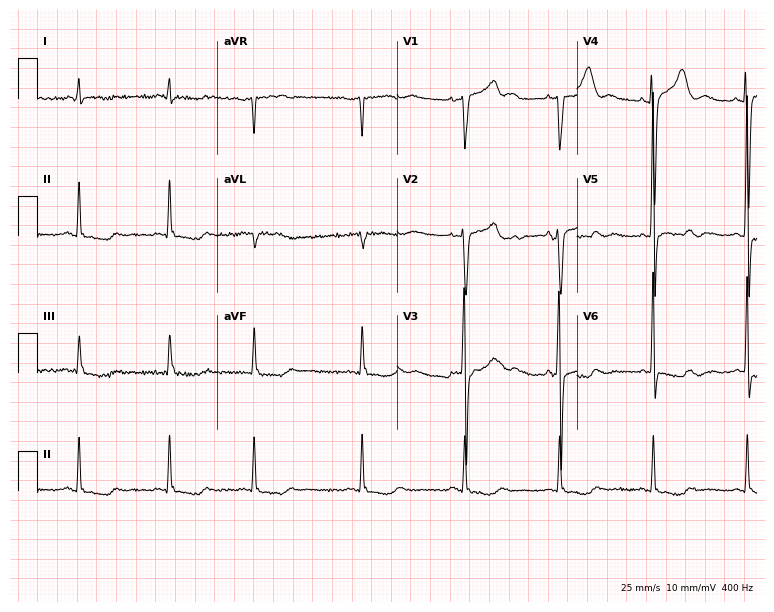
ECG (7.3-second recording at 400 Hz) — an 84-year-old male. Screened for six findings — first-degree AV block, right bundle branch block (RBBB), left bundle branch block (LBBB), sinus bradycardia, atrial fibrillation (AF), sinus tachycardia — none is recorded.